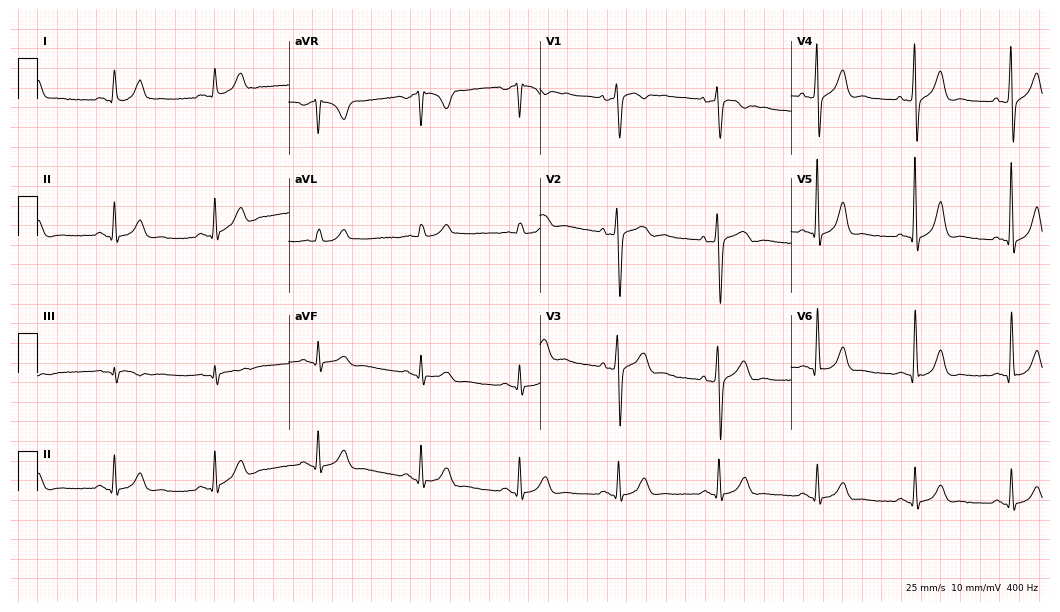
Standard 12-lead ECG recorded from a 57-year-old male. Read as a normal ECG.